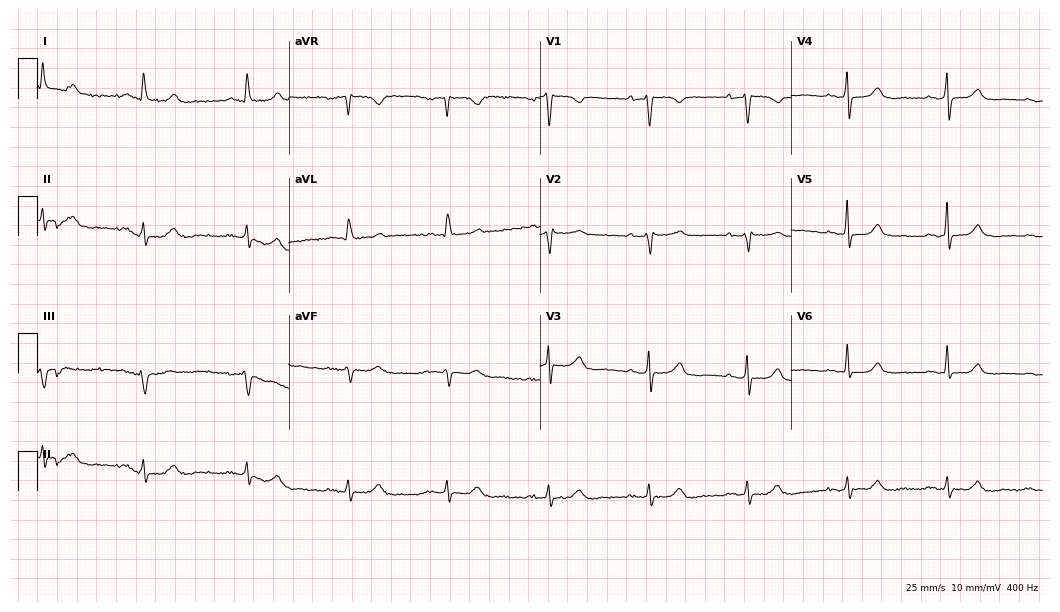
Standard 12-lead ECG recorded from a 76-year-old woman (10.2-second recording at 400 Hz). Read as a normal ECG.